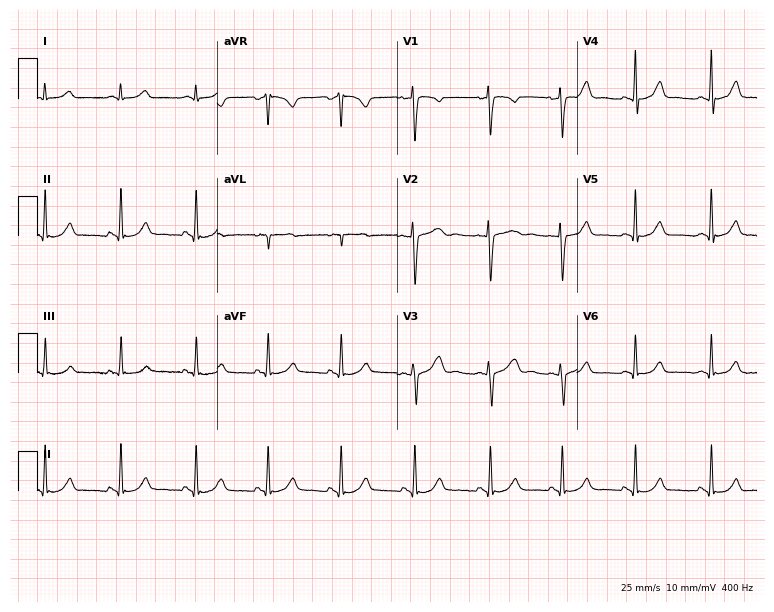
Electrocardiogram, a woman, 37 years old. Of the six screened findings (first-degree AV block, right bundle branch block (RBBB), left bundle branch block (LBBB), sinus bradycardia, atrial fibrillation (AF), sinus tachycardia), none is recorded.